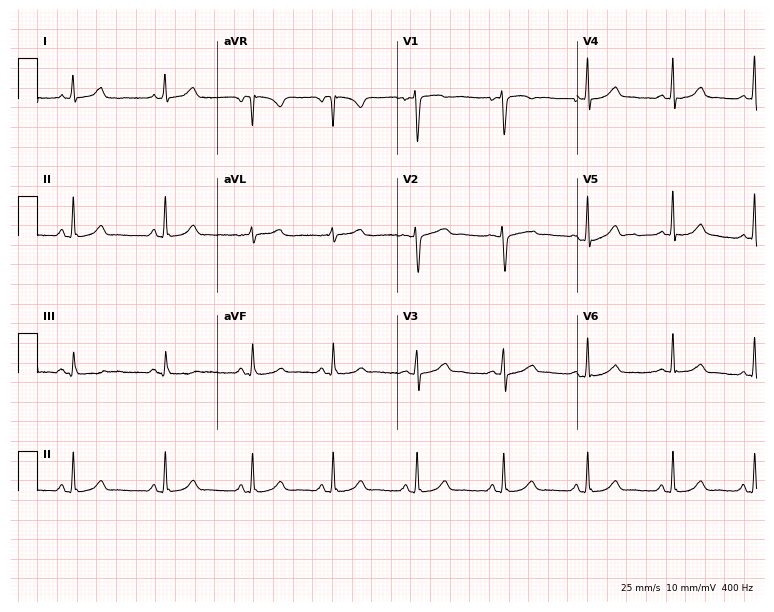
ECG (7.3-second recording at 400 Hz) — a female, 33 years old. Labelled as a normal ECG.